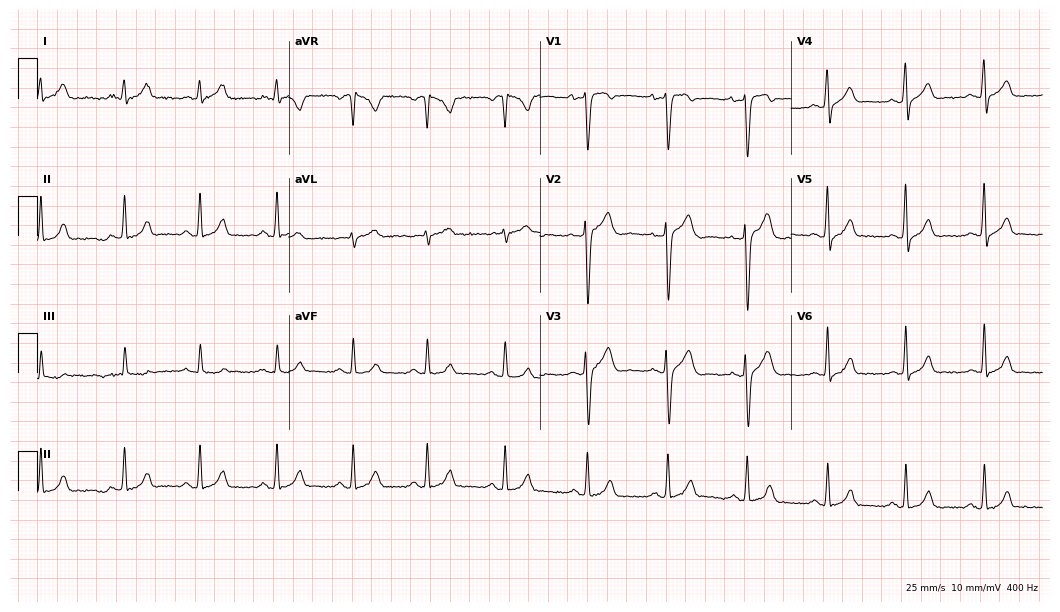
ECG — a male patient, 28 years old. Labelled as a normal ECG.